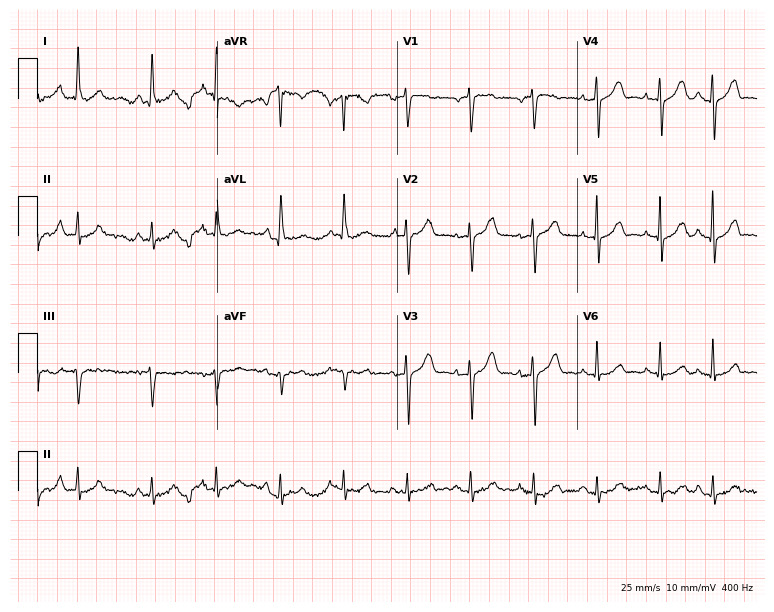
12-lead ECG from a woman, 81 years old. Recorded interpretation: within normal limits.